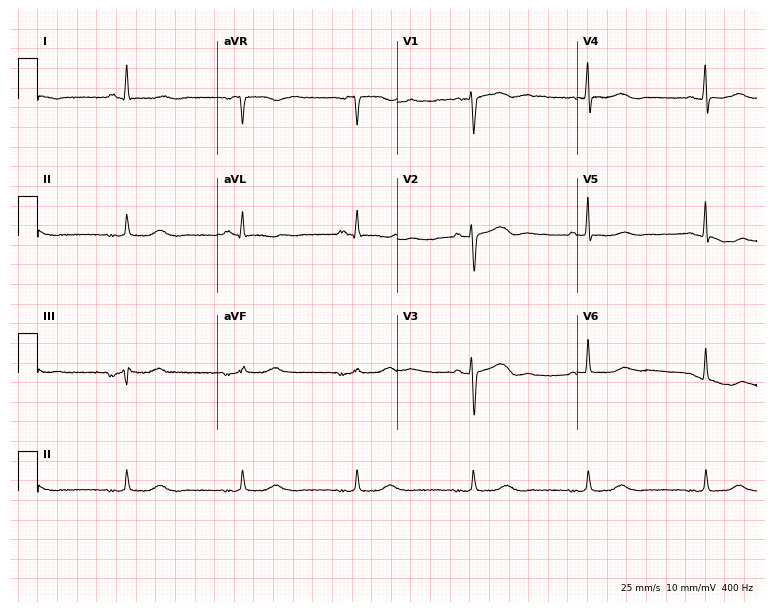
12-lead ECG (7.3-second recording at 400 Hz) from a female patient, 61 years old. Findings include sinus bradycardia (a sinus rate of 50 beats per minute or less).